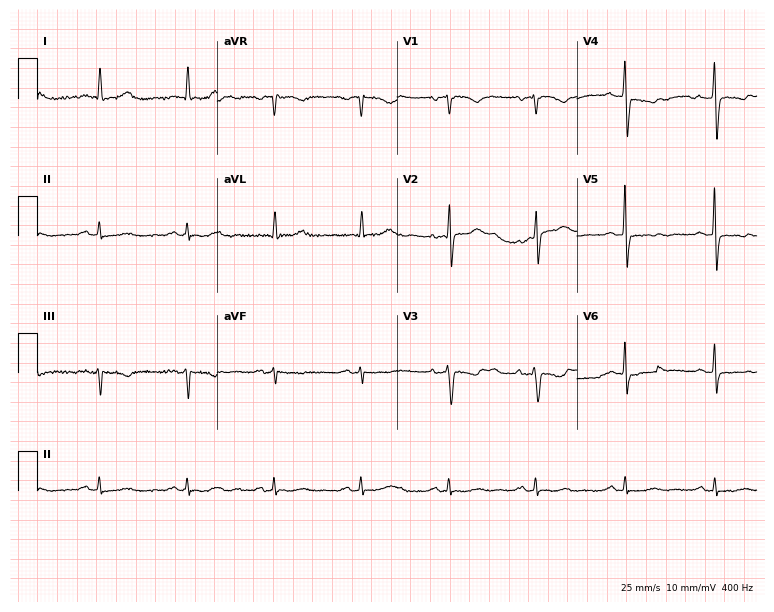
Electrocardiogram, a 65-year-old male. Of the six screened findings (first-degree AV block, right bundle branch block, left bundle branch block, sinus bradycardia, atrial fibrillation, sinus tachycardia), none is recorded.